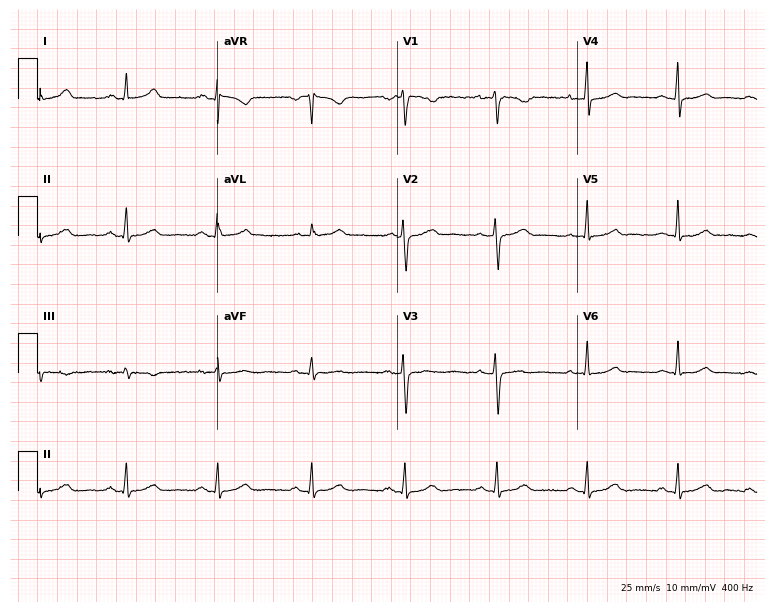
ECG — a woman, 36 years old. Screened for six findings — first-degree AV block, right bundle branch block (RBBB), left bundle branch block (LBBB), sinus bradycardia, atrial fibrillation (AF), sinus tachycardia — none is recorded. Only these six findings were labelled.